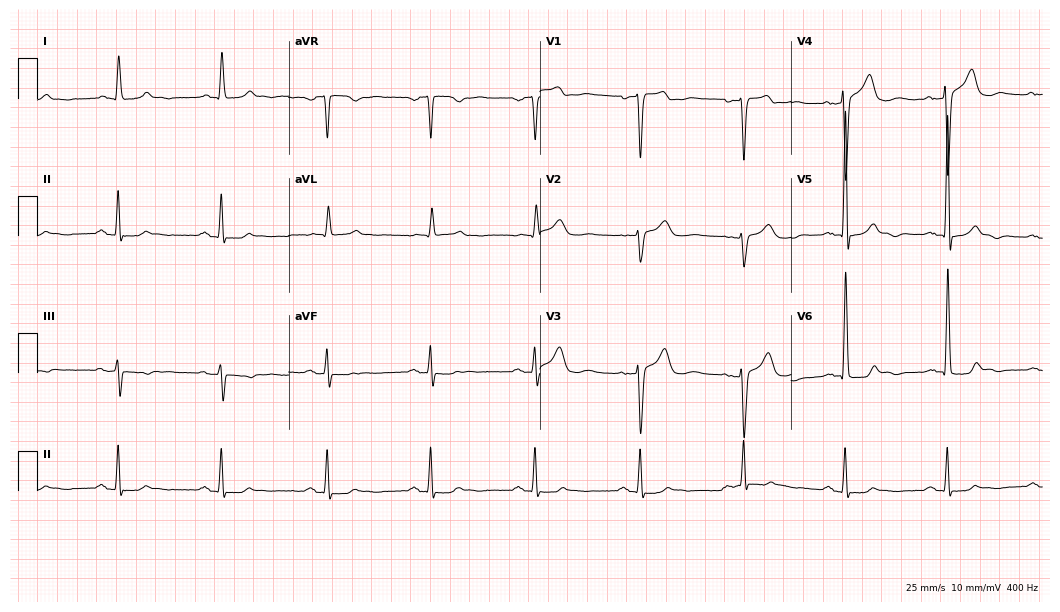
Standard 12-lead ECG recorded from a male patient, 58 years old. None of these six findings is recorded: first-degree AV block, right bundle branch block, left bundle branch block, sinus bradycardia, atrial fibrillation, sinus tachycardia. Other findings, if any, are not listed.